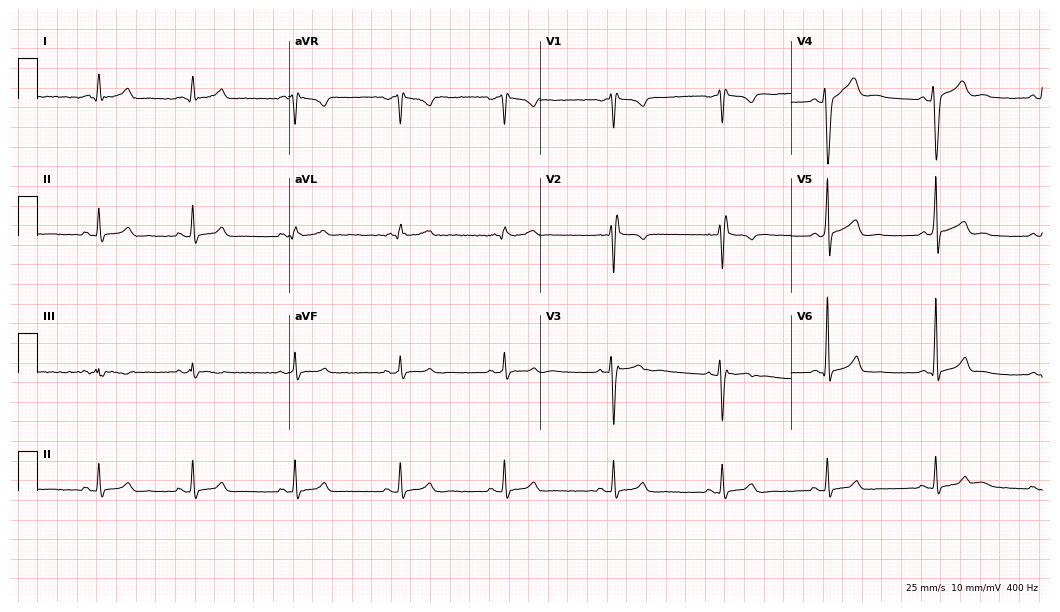
Electrocardiogram (10.2-second recording at 400 Hz), a male patient, 23 years old. Of the six screened findings (first-degree AV block, right bundle branch block (RBBB), left bundle branch block (LBBB), sinus bradycardia, atrial fibrillation (AF), sinus tachycardia), none is recorded. Other findings, if any, are not listed.